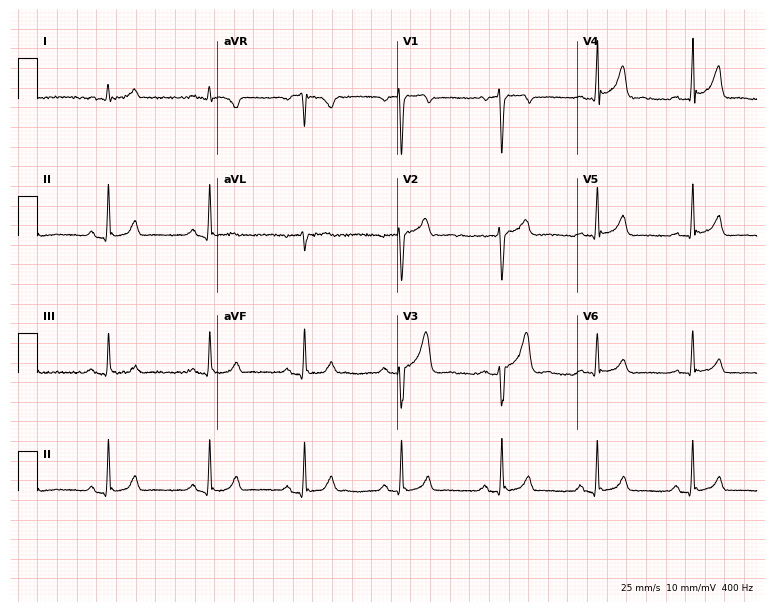
12-lead ECG (7.3-second recording at 400 Hz) from a 24-year-old male. Labelled as a normal ECG.